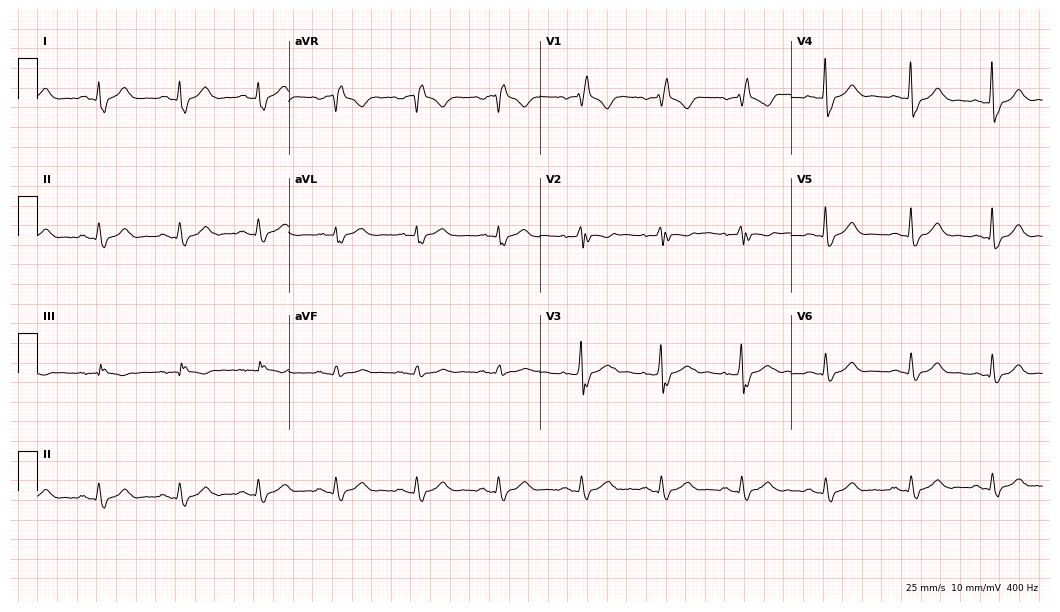
ECG — a 35-year-old woman. Findings include right bundle branch block (RBBB).